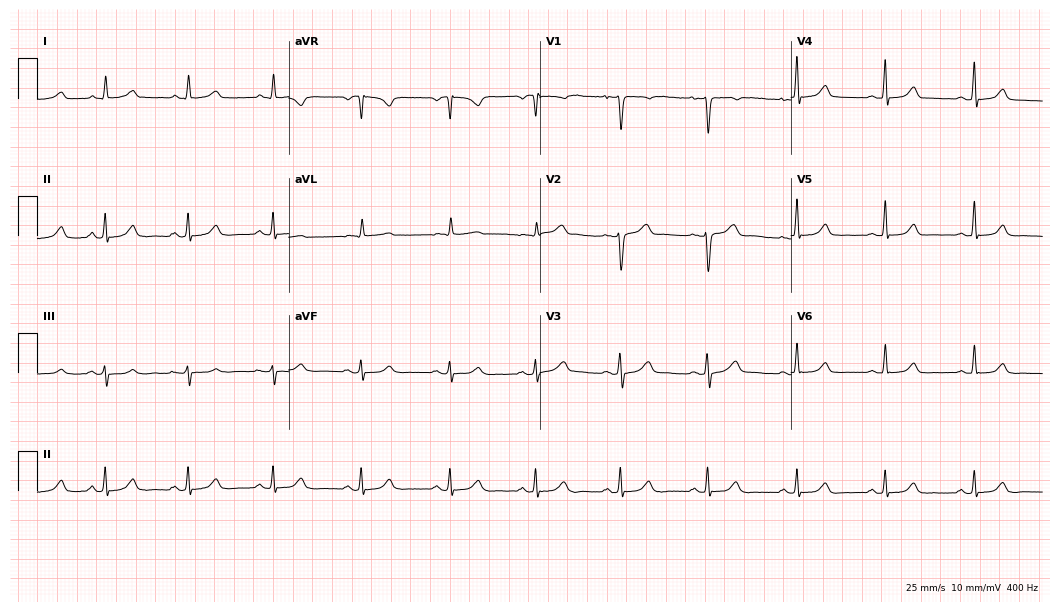
12-lead ECG from a 46-year-old female (10.2-second recording at 400 Hz). Recorded interpretation: within normal limits.